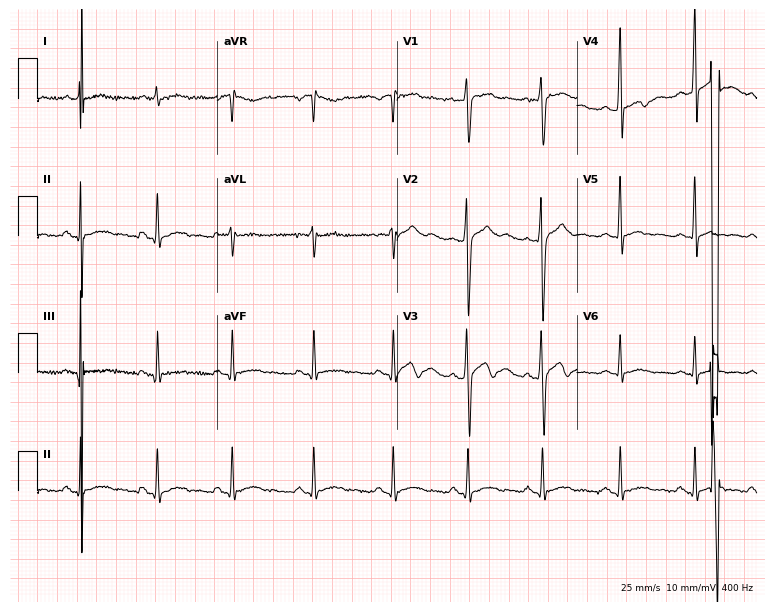
12-lead ECG (7.3-second recording at 400 Hz) from a man, 28 years old. Screened for six findings — first-degree AV block, right bundle branch block (RBBB), left bundle branch block (LBBB), sinus bradycardia, atrial fibrillation (AF), sinus tachycardia — none is recorded.